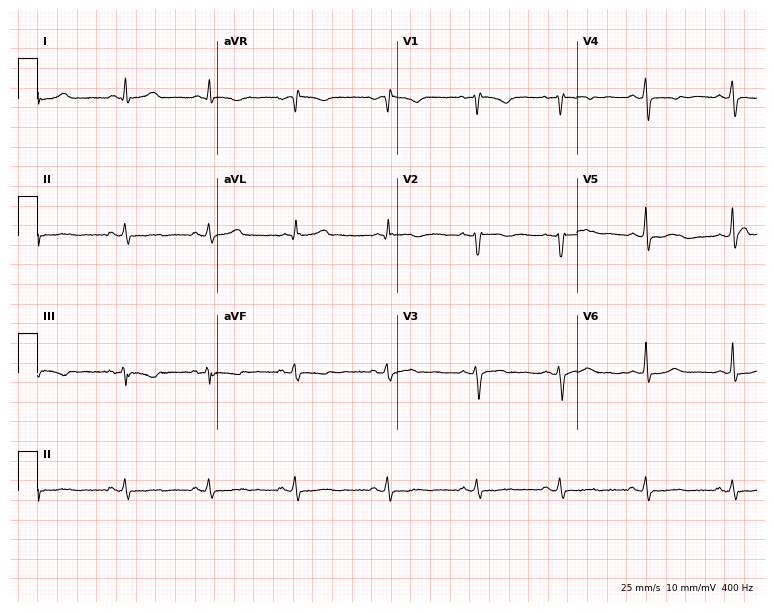
Standard 12-lead ECG recorded from a female patient, 45 years old. None of these six findings is recorded: first-degree AV block, right bundle branch block, left bundle branch block, sinus bradycardia, atrial fibrillation, sinus tachycardia. Other findings, if any, are not listed.